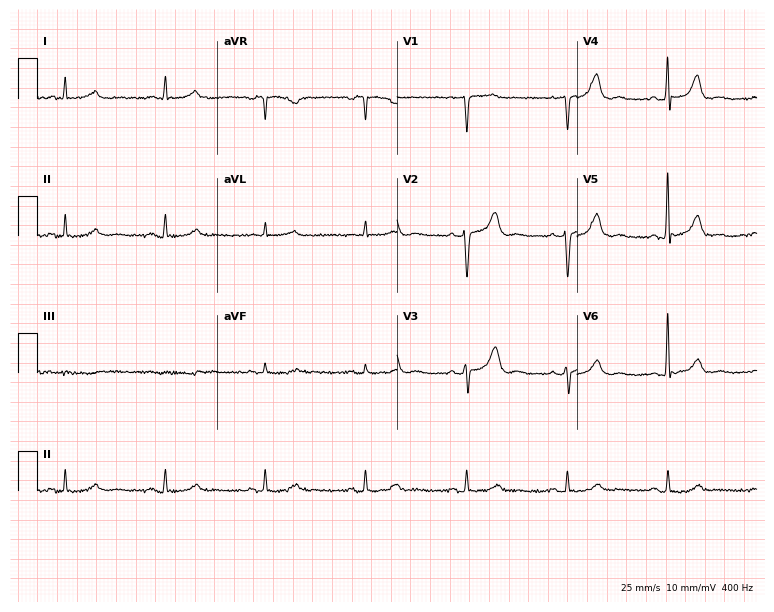
12-lead ECG from an 81-year-old male patient. Recorded interpretation: within normal limits.